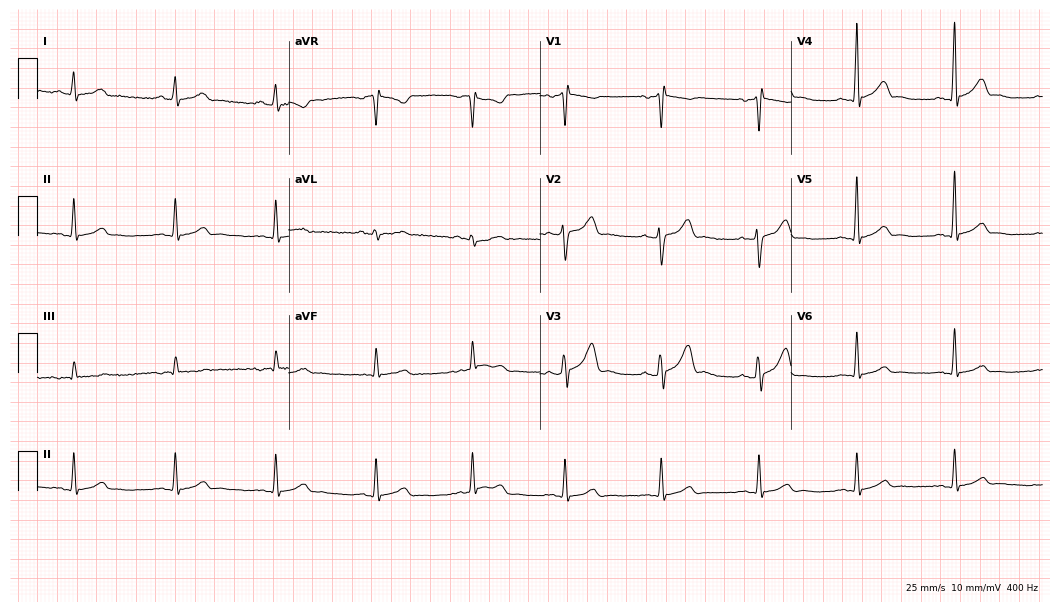
Electrocardiogram (10.2-second recording at 400 Hz), a 41-year-old man. Overall reading on record: normal ECG.